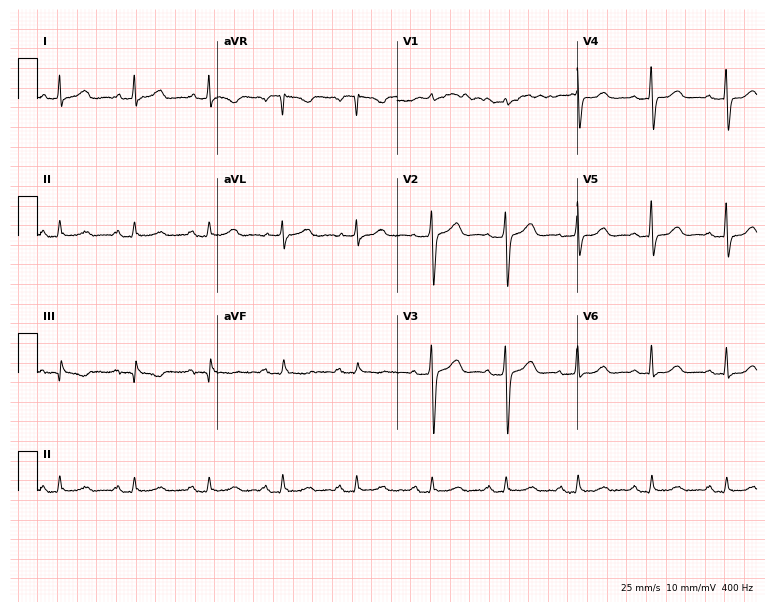
Resting 12-lead electrocardiogram (7.3-second recording at 400 Hz). Patient: a female, 66 years old. Read as a normal ECG.